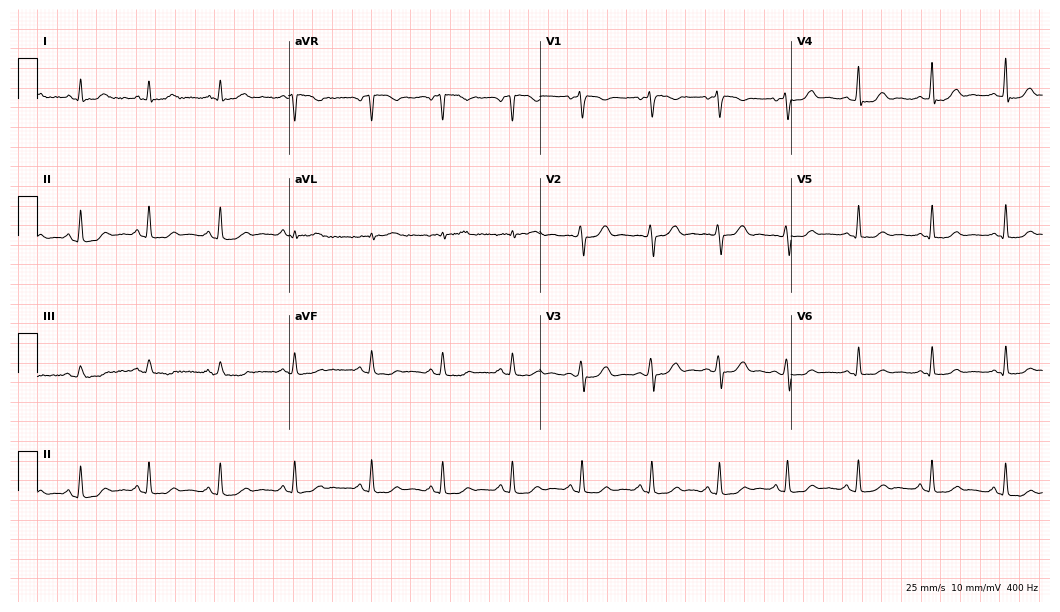
Electrocardiogram (10.2-second recording at 400 Hz), a woman, 28 years old. Overall reading on record: normal ECG.